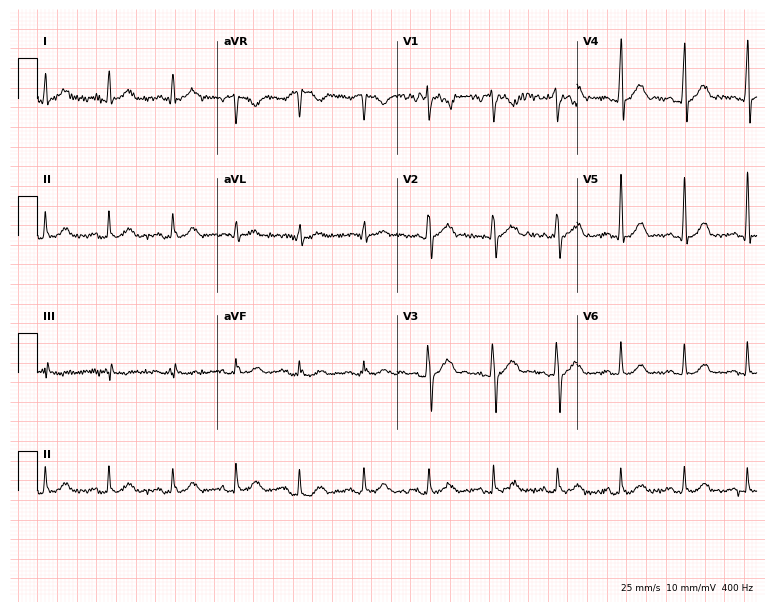
Resting 12-lead electrocardiogram. Patient: a 54-year-old man. Read as a normal ECG.